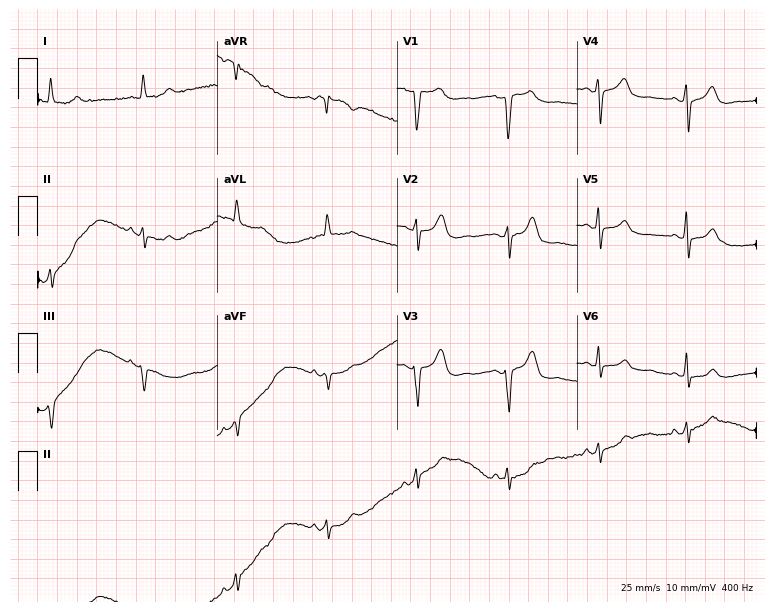
ECG — a 73-year-old female. Screened for six findings — first-degree AV block, right bundle branch block (RBBB), left bundle branch block (LBBB), sinus bradycardia, atrial fibrillation (AF), sinus tachycardia — none is recorded. Findings outside these six are not listed.